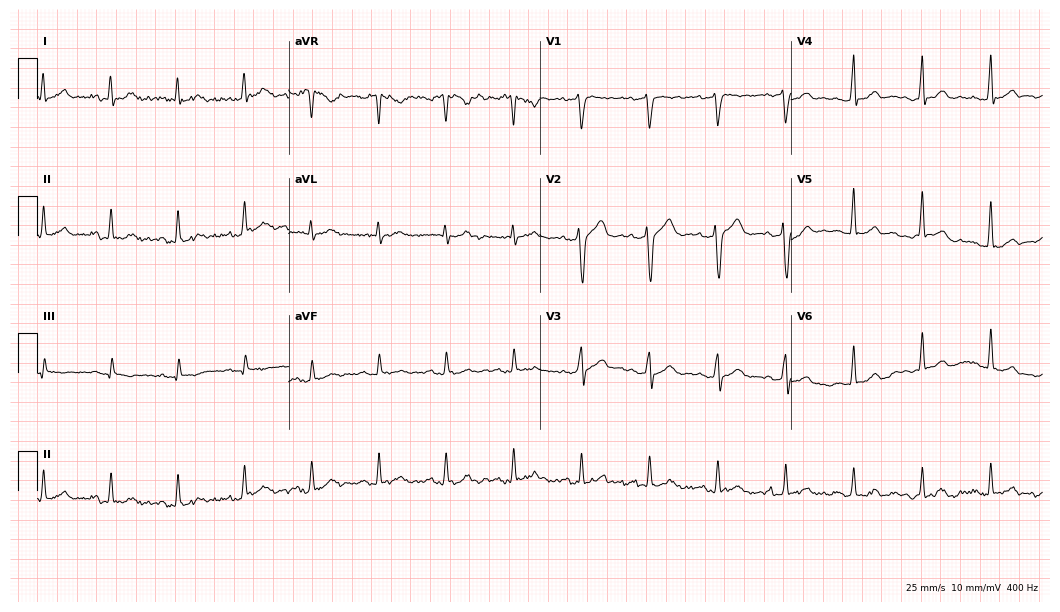
12-lead ECG (10.2-second recording at 400 Hz) from a male, 37 years old. Labelled as a normal ECG.